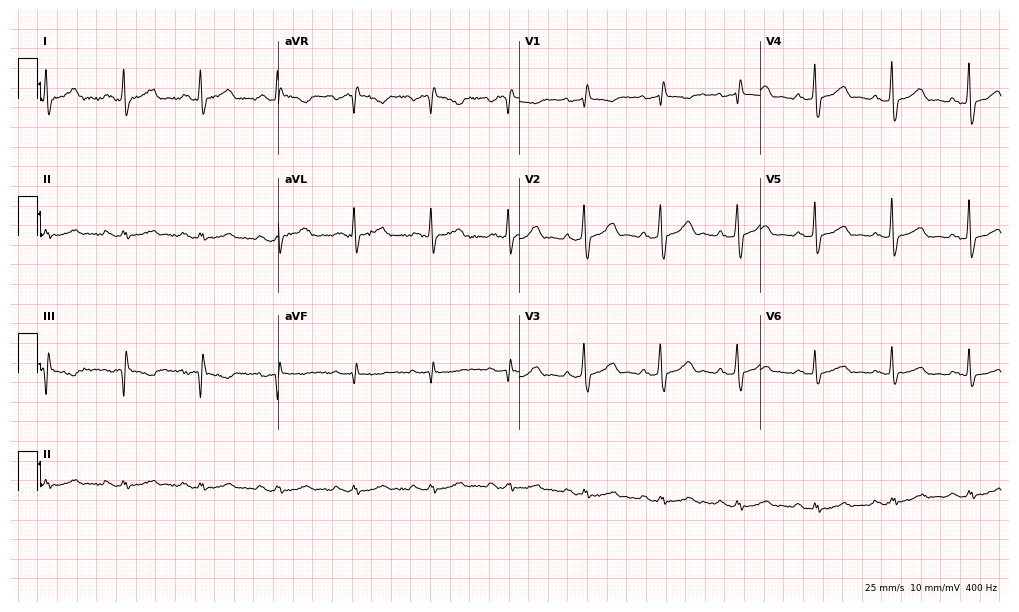
12-lead ECG from a male, 54 years old. No first-degree AV block, right bundle branch block, left bundle branch block, sinus bradycardia, atrial fibrillation or sinus tachycardia recorded for this tracing. Other findings, if any, are not listed.